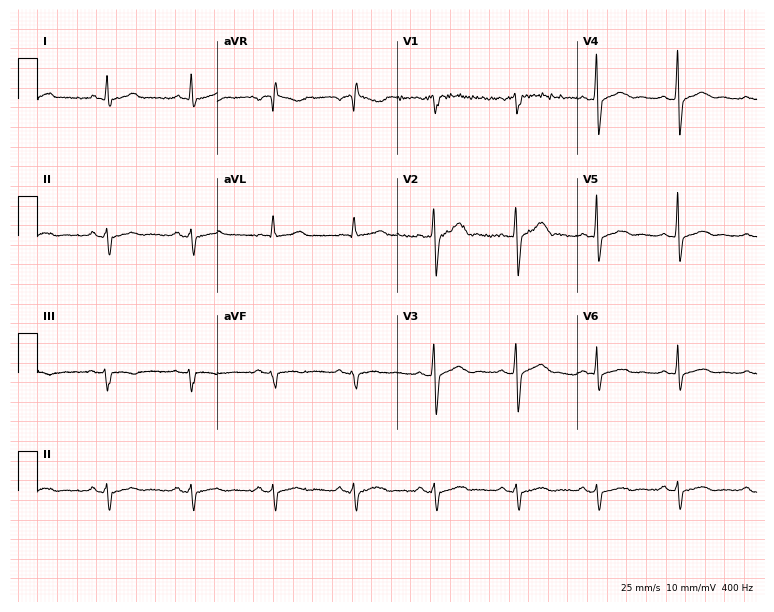
12-lead ECG (7.3-second recording at 400 Hz) from a male, 46 years old. Screened for six findings — first-degree AV block, right bundle branch block, left bundle branch block, sinus bradycardia, atrial fibrillation, sinus tachycardia — none is recorded. Only these six findings were labelled.